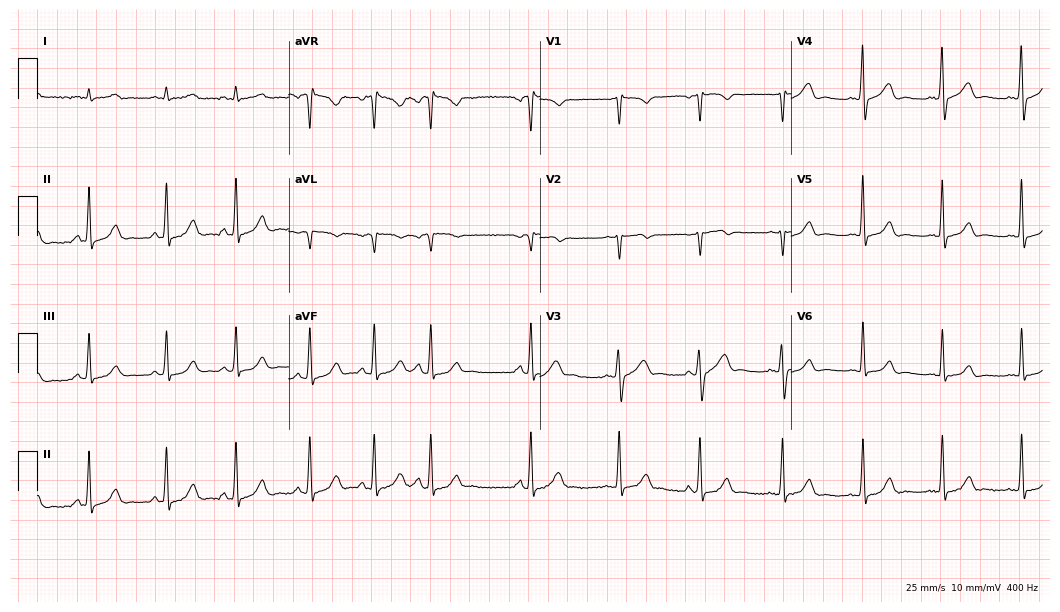
Standard 12-lead ECG recorded from a male, 56 years old (10.2-second recording at 400 Hz). Read as a normal ECG.